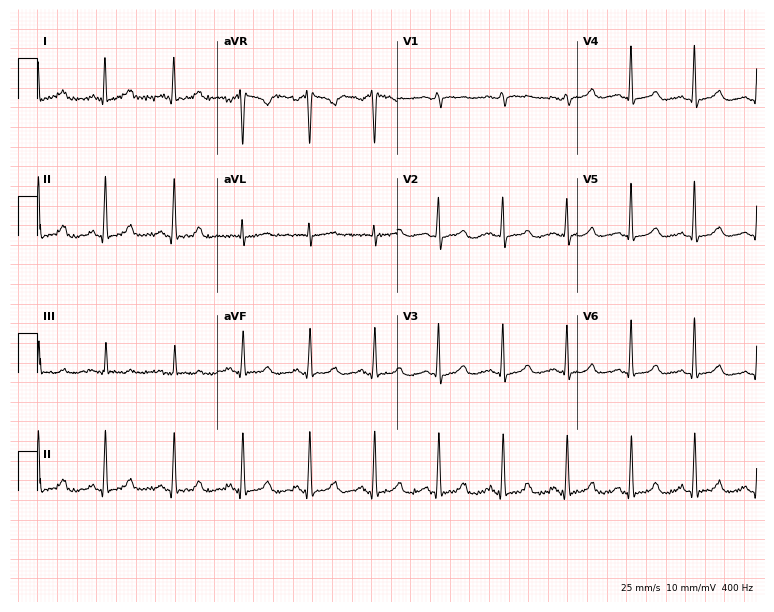
Standard 12-lead ECG recorded from a female patient, 49 years old (7.3-second recording at 400 Hz). Read as a normal ECG.